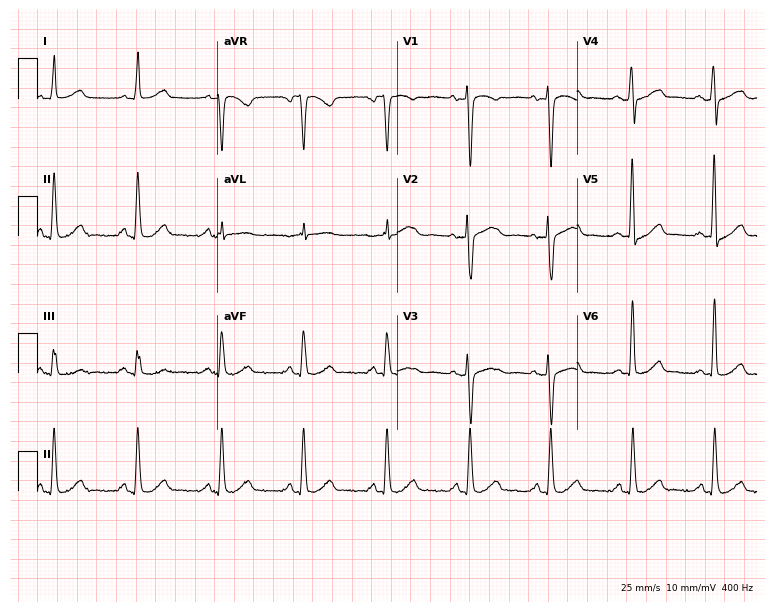
12-lead ECG (7.3-second recording at 400 Hz) from a female, 49 years old. Labelled as a normal ECG.